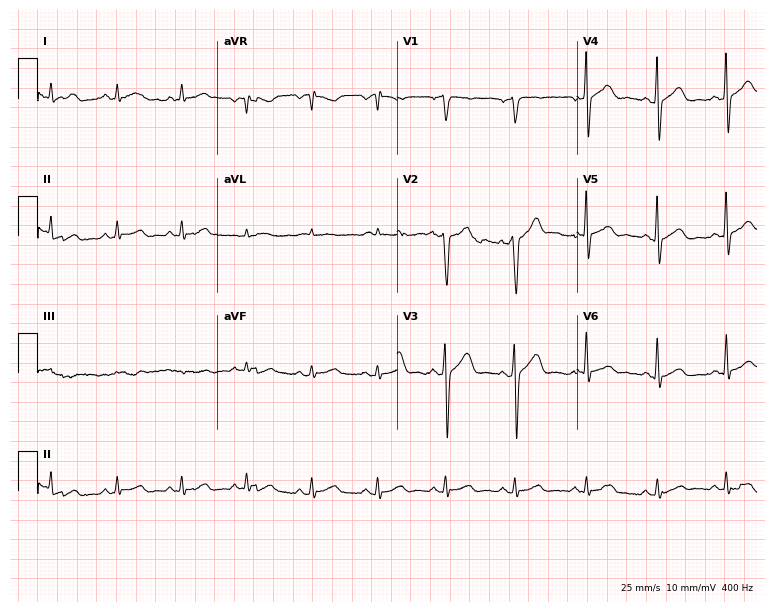
ECG — a 47-year-old male patient. Screened for six findings — first-degree AV block, right bundle branch block, left bundle branch block, sinus bradycardia, atrial fibrillation, sinus tachycardia — none is recorded. Other findings, if any, are not listed.